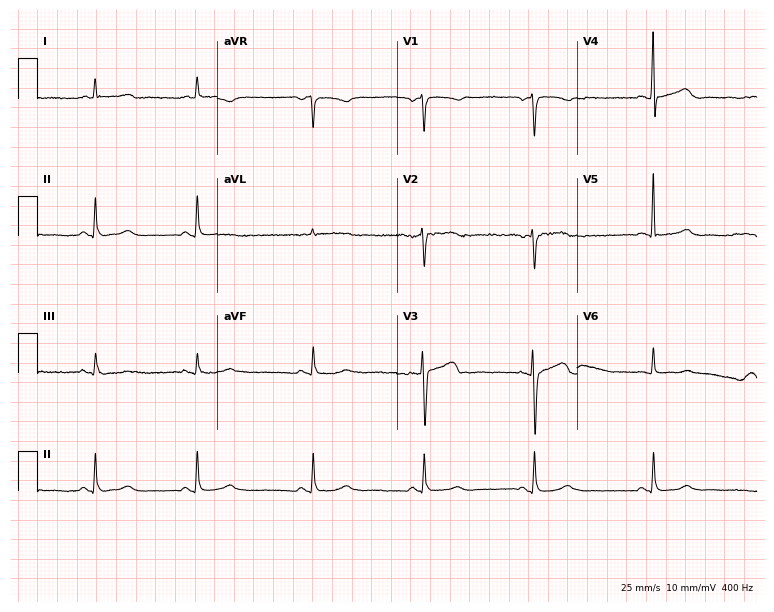
Electrocardiogram, a woman, 51 years old. Overall reading on record: normal ECG.